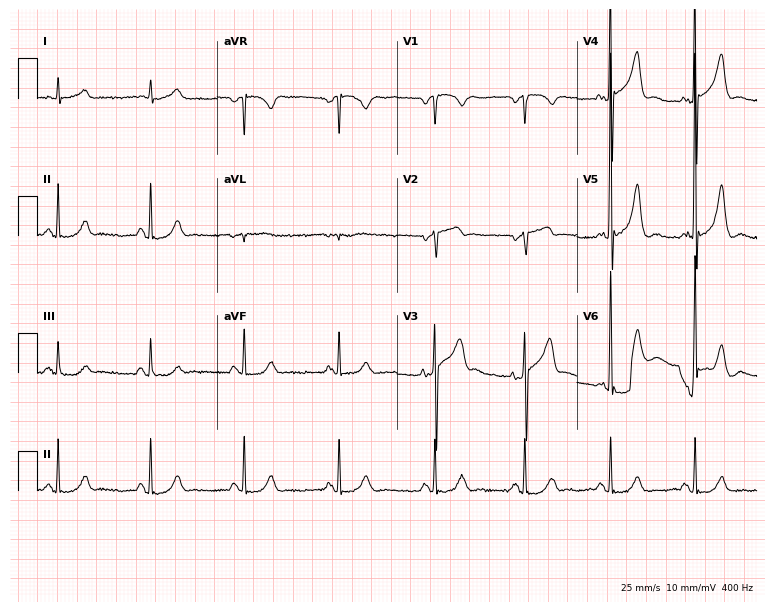
ECG — a man, 55 years old. Labelled as a normal ECG.